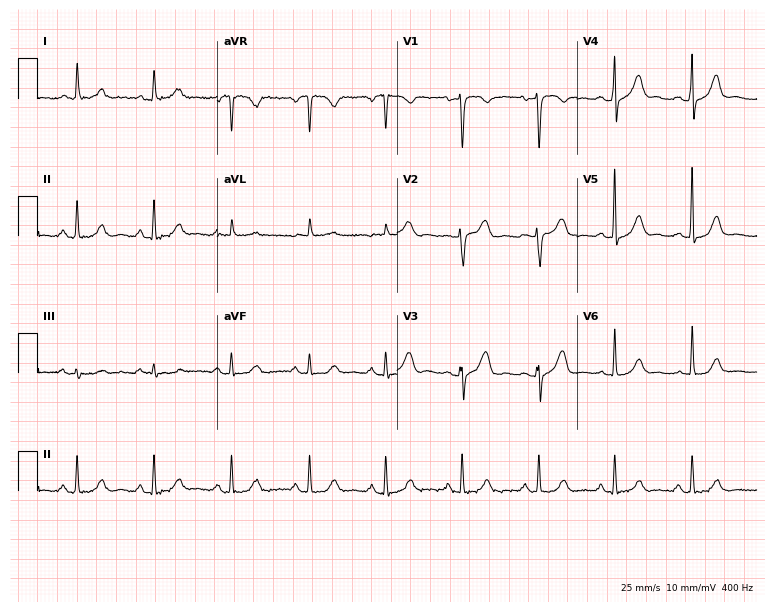
Resting 12-lead electrocardiogram. Patient: a 48-year-old female. Read as a normal ECG.